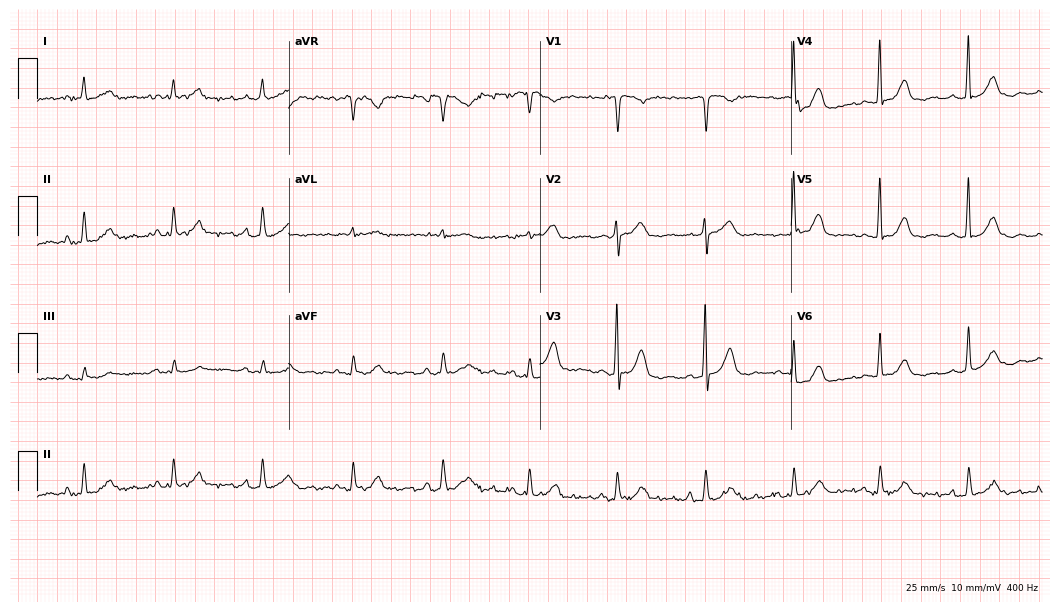
Standard 12-lead ECG recorded from a 73-year-old woman (10.2-second recording at 400 Hz). None of these six findings is recorded: first-degree AV block, right bundle branch block (RBBB), left bundle branch block (LBBB), sinus bradycardia, atrial fibrillation (AF), sinus tachycardia.